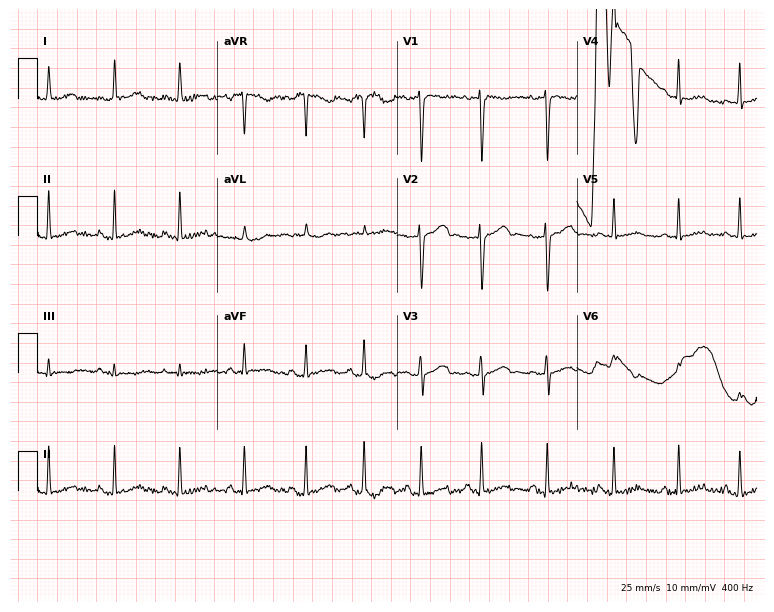
12-lead ECG (7.3-second recording at 400 Hz) from a woman, 17 years old. Screened for six findings — first-degree AV block, right bundle branch block, left bundle branch block, sinus bradycardia, atrial fibrillation, sinus tachycardia — none is recorded.